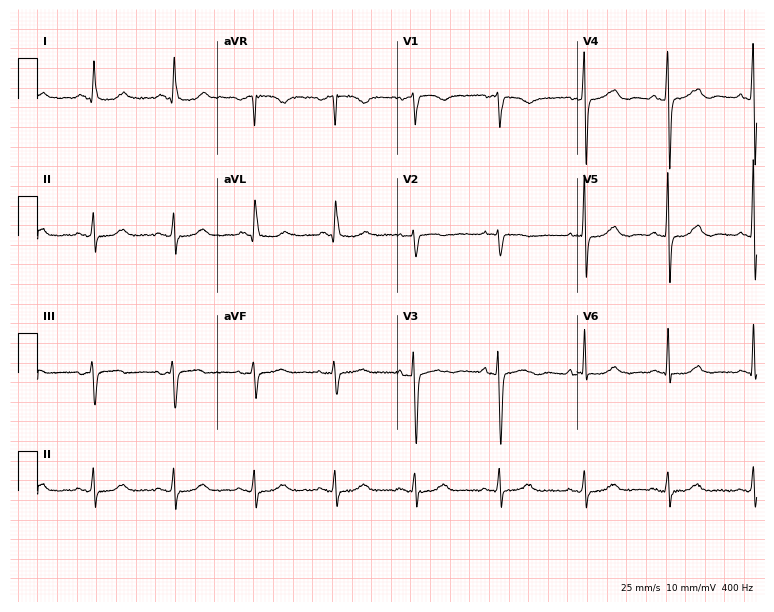
Electrocardiogram (7.3-second recording at 400 Hz), a female patient, 74 years old. Of the six screened findings (first-degree AV block, right bundle branch block, left bundle branch block, sinus bradycardia, atrial fibrillation, sinus tachycardia), none is recorded.